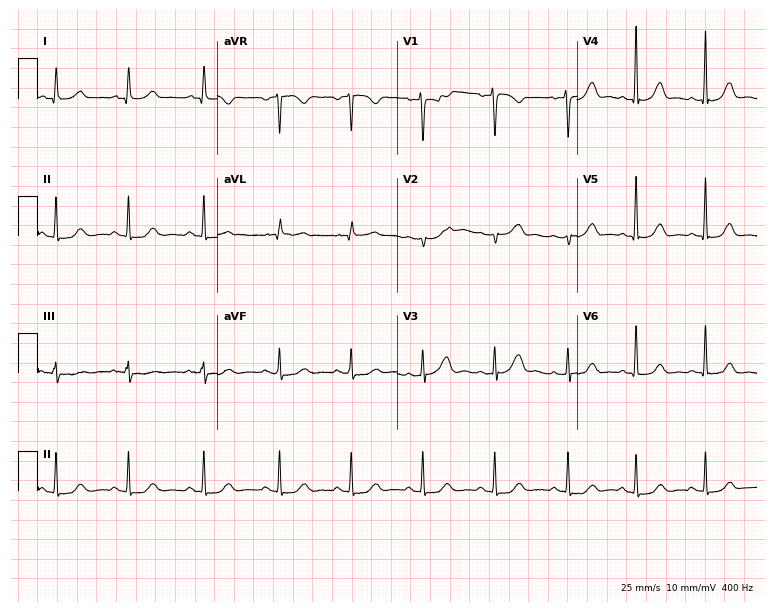
ECG — a woman, 35 years old. Labelled as a normal ECG.